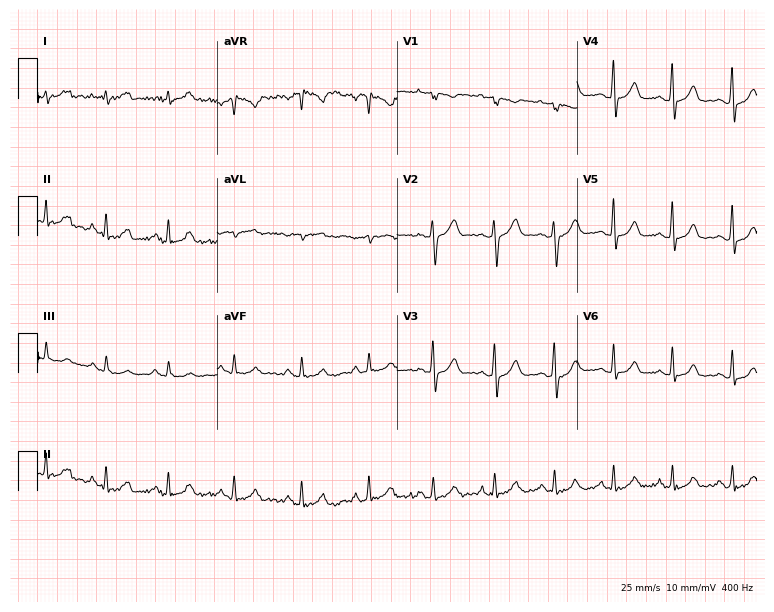
12-lead ECG from a woman, 28 years old. Screened for six findings — first-degree AV block, right bundle branch block, left bundle branch block, sinus bradycardia, atrial fibrillation, sinus tachycardia — none is recorded. Findings outside these six are not listed.